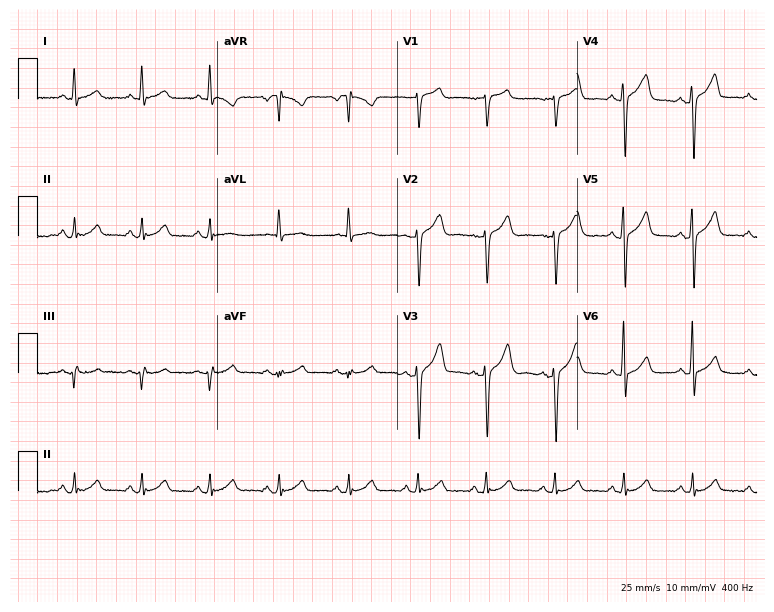
Resting 12-lead electrocardiogram. Patient: a 56-year-old male. Read as a normal ECG.